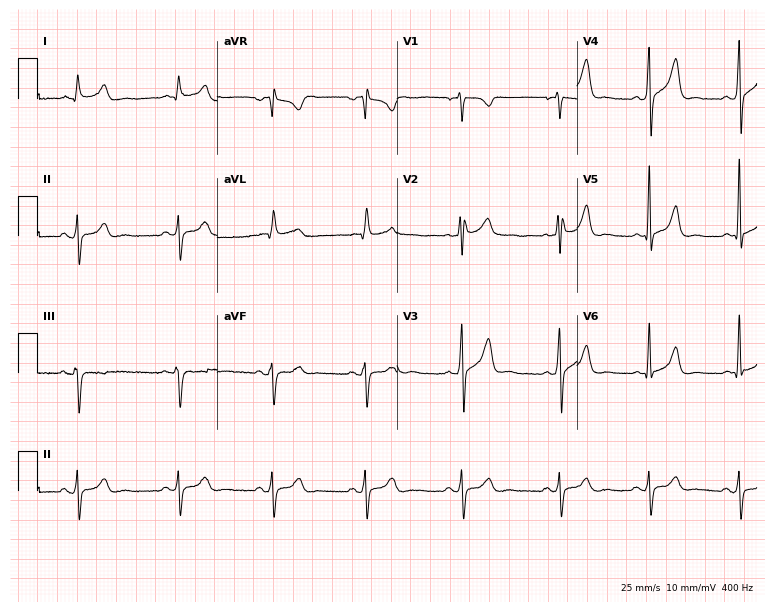
Electrocardiogram (7.3-second recording at 400 Hz), a male patient, 39 years old. Of the six screened findings (first-degree AV block, right bundle branch block (RBBB), left bundle branch block (LBBB), sinus bradycardia, atrial fibrillation (AF), sinus tachycardia), none is recorded.